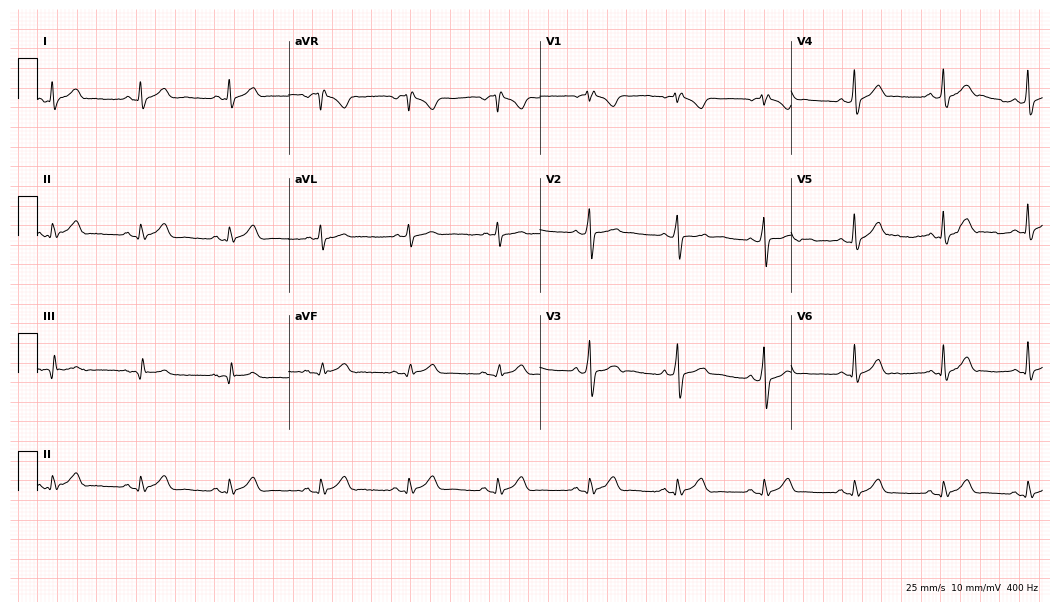
Resting 12-lead electrocardiogram. Patient: a man, 50 years old. Read as a normal ECG.